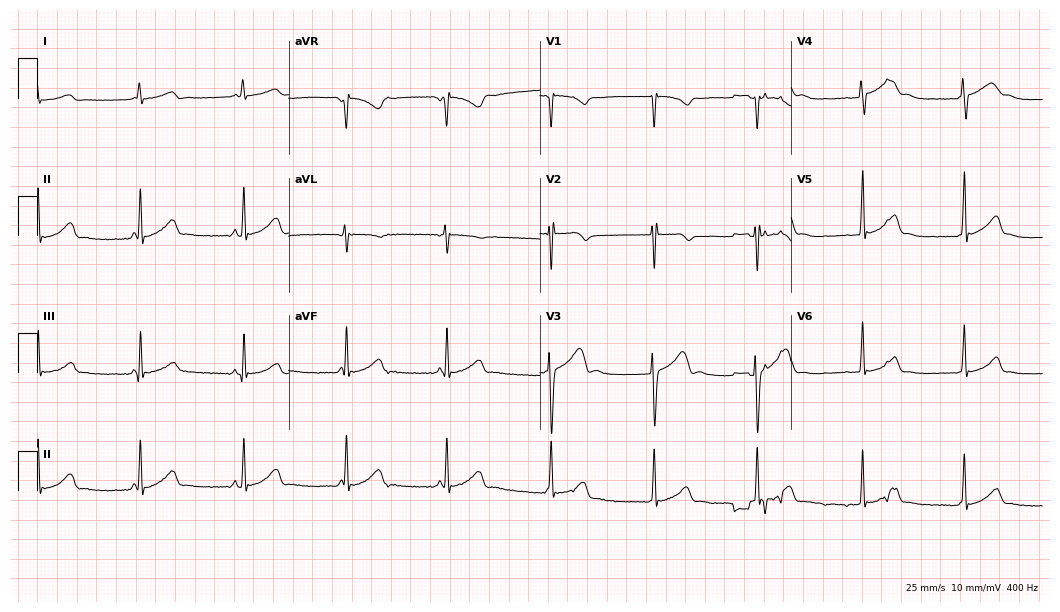
Resting 12-lead electrocardiogram. Patient: a female, 18 years old. None of these six findings is recorded: first-degree AV block, right bundle branch block, left bundle branch block, sinus bradycardia, atrial fibrillation, sinus tachycardia.